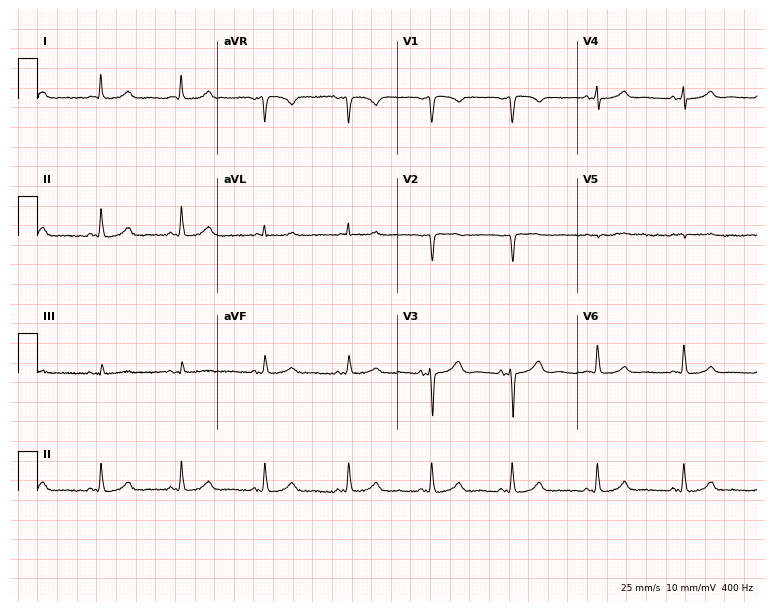
12-lead ECG from a female patient, 76 years old. Labelled as a normal ECG.